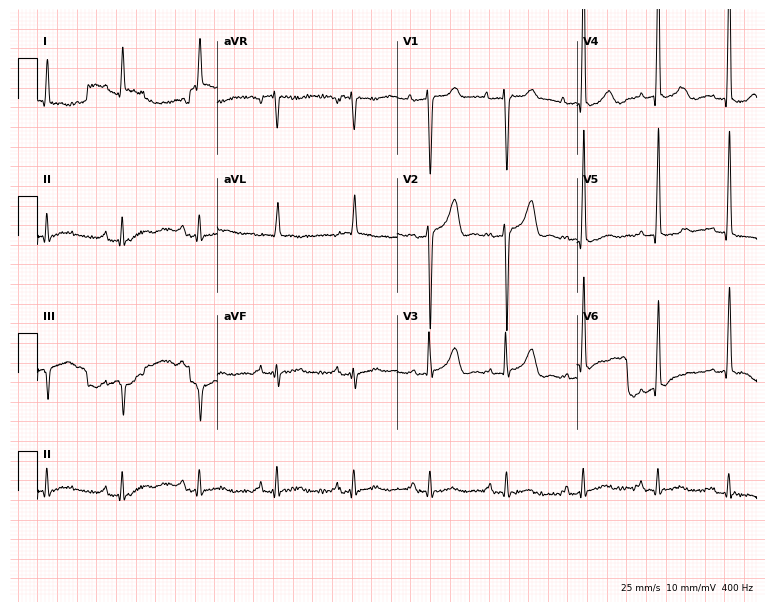
12-lead ECG (7.3-second recording at 400 Hz) from an 85-year-old woman. Screened for six findings — first-degree AV block, right bundle branch block, left bundle branch block, sinus bradycardia, atrial fibrillation, sinus tachycardia — none is recorded. Findings outside these six are not listed.